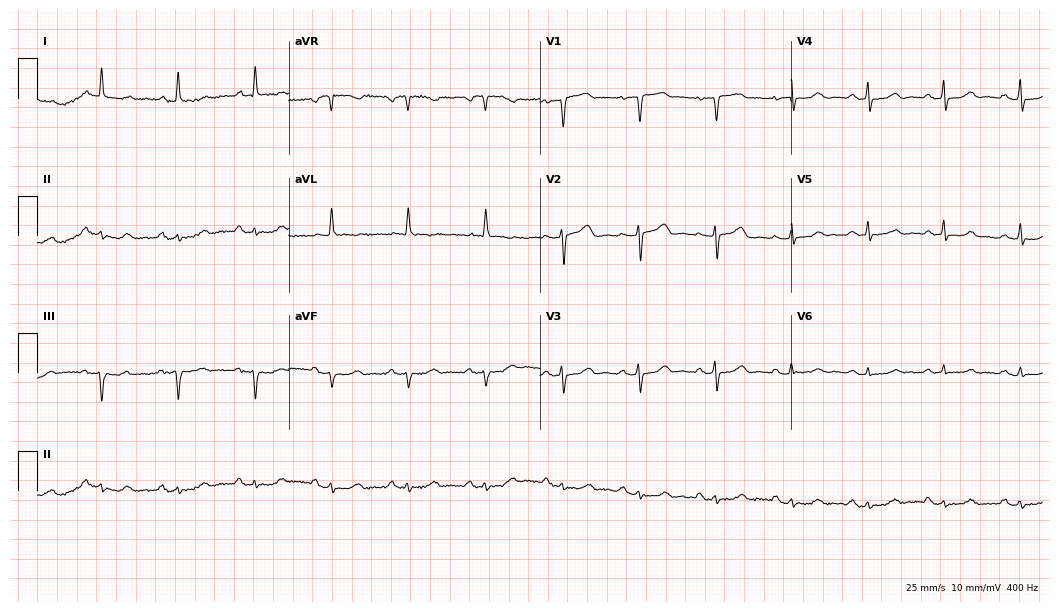
ECG — a female, 60 years old. Screened for six findings — first-degree AV block, right bundle branch block, left bundle branch block, sinus bradycardia, atrial fibrillation, sinus tachycardia — none is recorded.